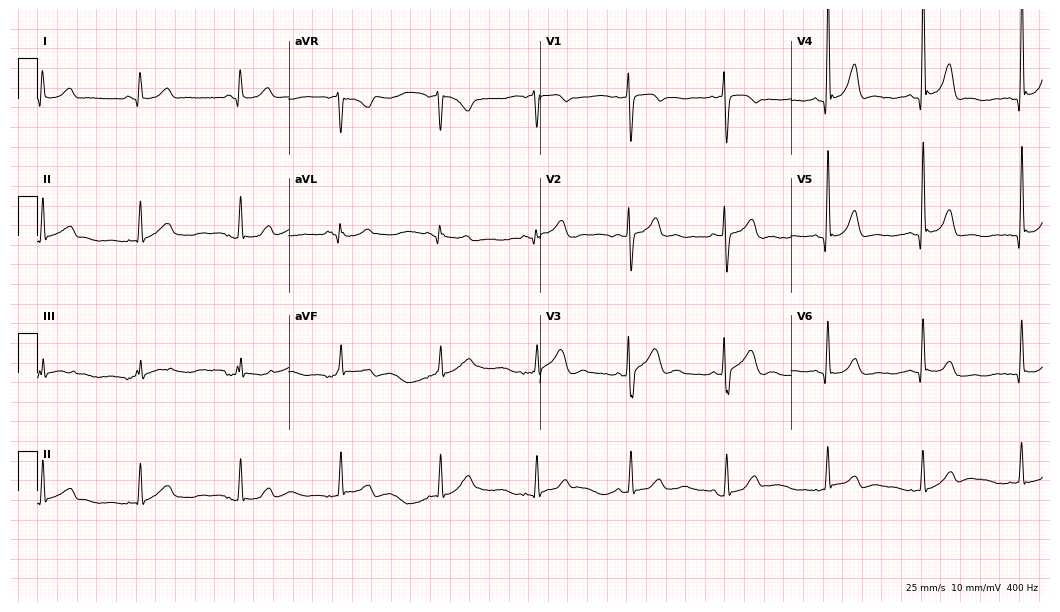
12-lead ECG (10.2-second recording at 400 Hz) from a 20-year-old man. Labelled as a normal ECG.